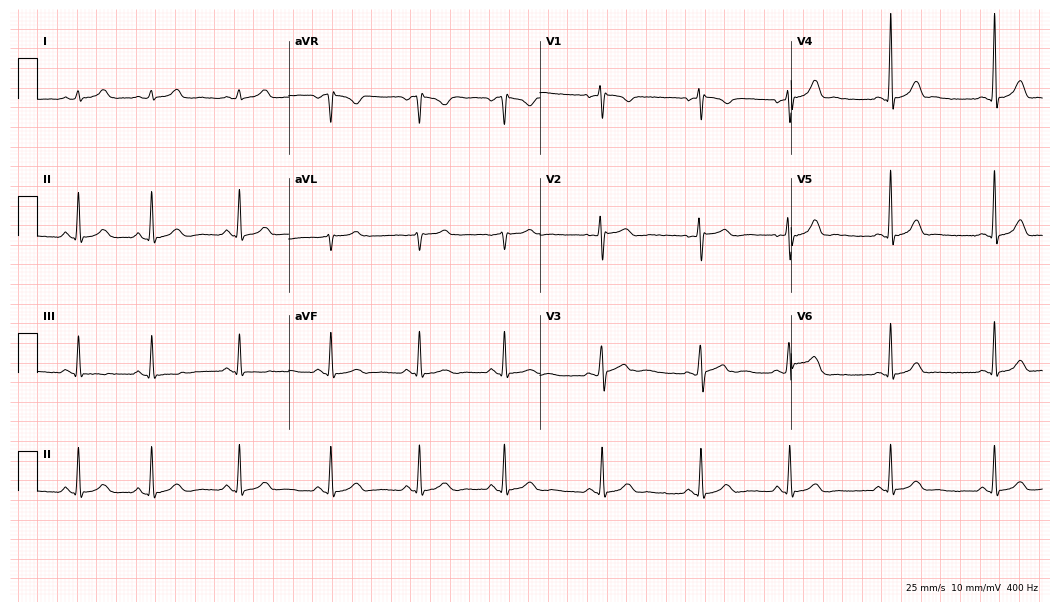
12-lead ECG from a female patient, 21 years old (10.2-second recording at 400 Hz). Recorded interpretation: within normal limits.